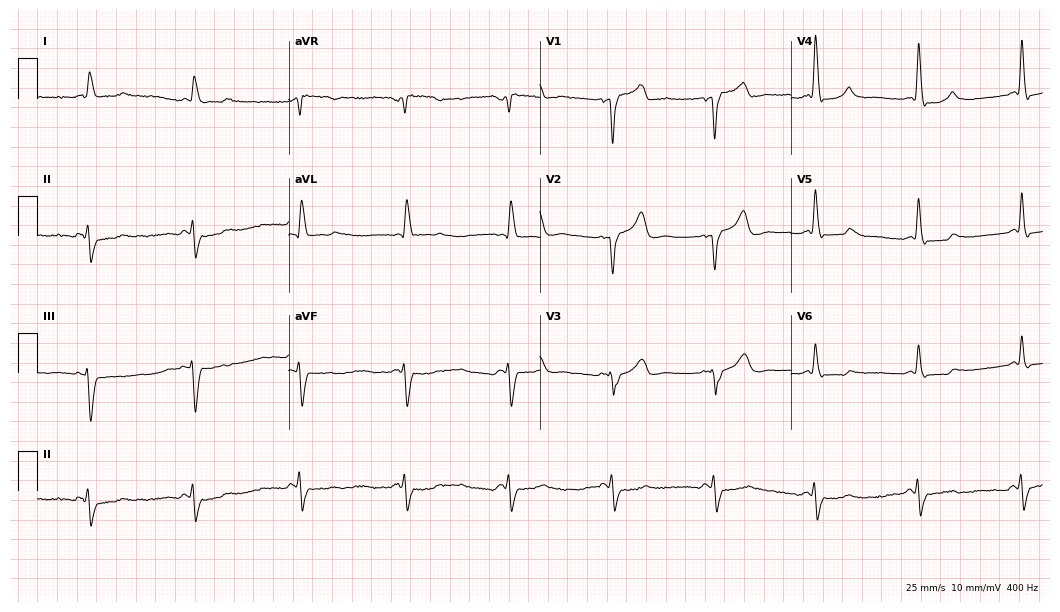
ECG — an 80-year-old male. Screened for six findings — first-degree AV block, right bundle branch block (RBBB), left bundle branch block (LBBB), sinus bradycardia, atrial fibrillation (AF), sinus tachycardia — none is recorded.